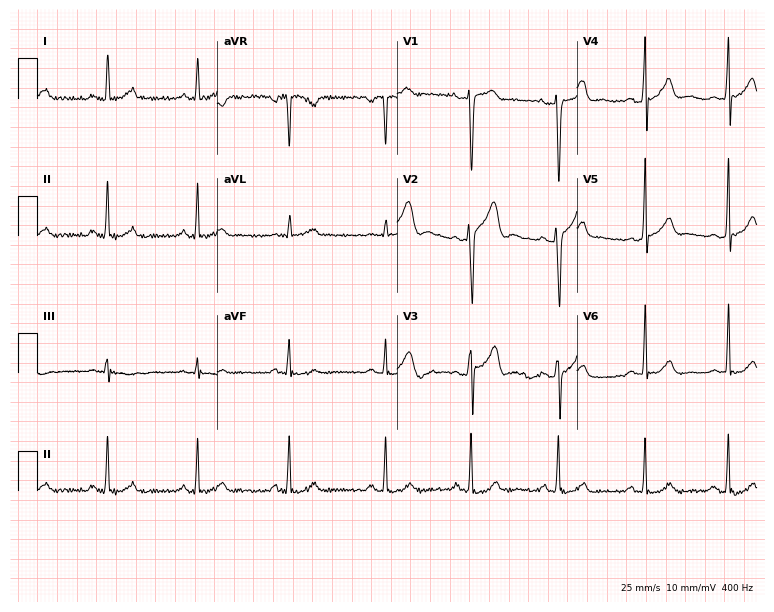
12-lead ECG from a male patient, 31 years old. Labelled as a normal ECG.